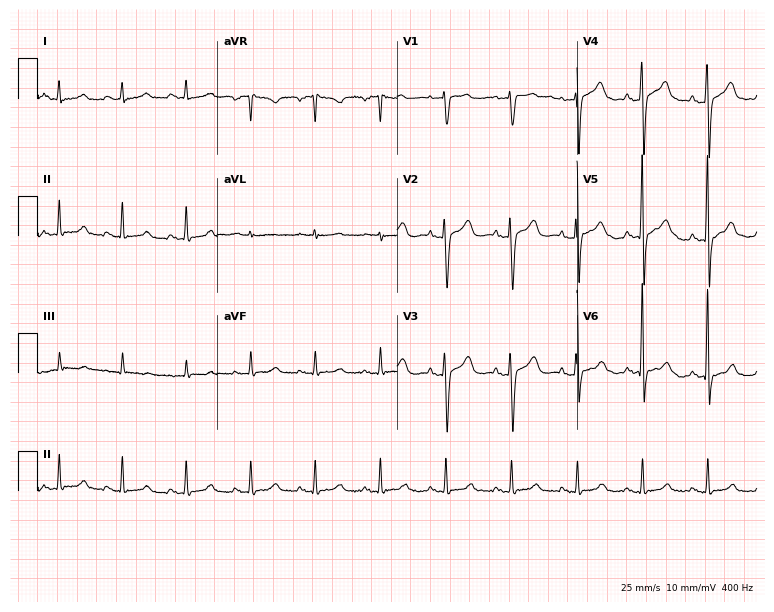
Standard 12-lead ECG recorded from a woman, 75 years old (7.3-second recording at 400 Hz). Read as a normal ECG.